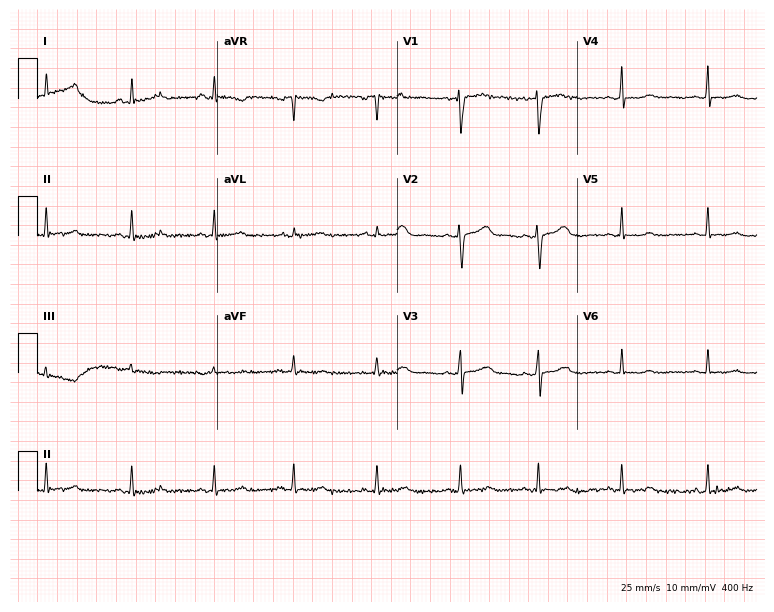
Resting 12-lead electrocardiogram. Patient: a 37-year-old female. None of these six findings is recorded: first-degree AV block, right bundle branch block, left bundle branch block, sinus bradycardia, atrial fibrillation, sinus tachycardia. Only these six findings were labelled.